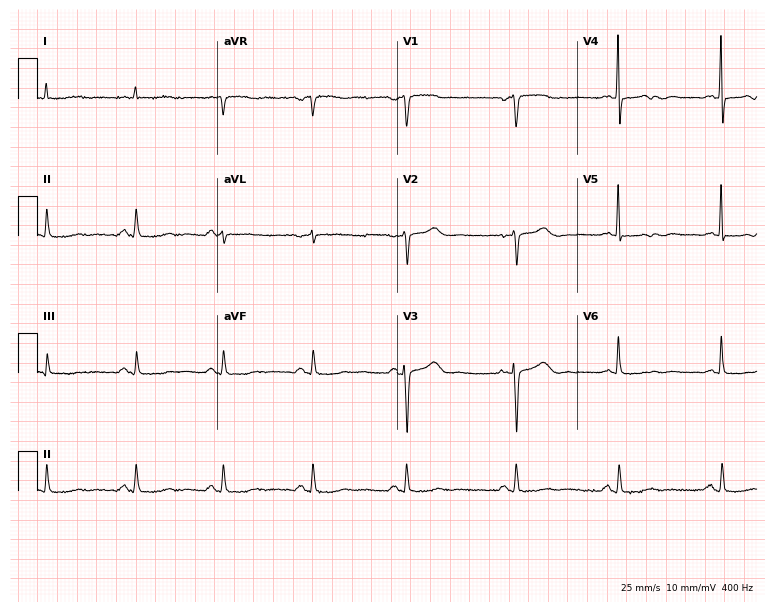
12-lead ECG from a female patient, 80 years old (7.3-second recording at 400 Hz). No first-degree AV block, right bundle branch block (RBBB), left bundle branch block (LBBB), sinus bradycardia, atrial fibrillation (AF) or sinus tachycardia recorded for this tracing.